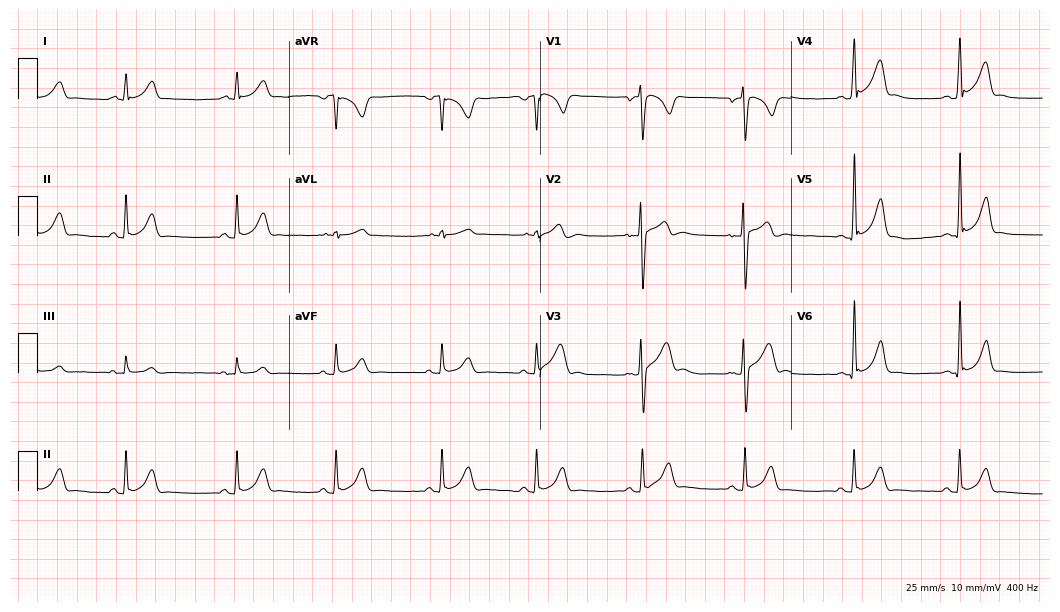
Standard 12-lead ECG recorded from an 18-year-old male. Read as a normal ECG.